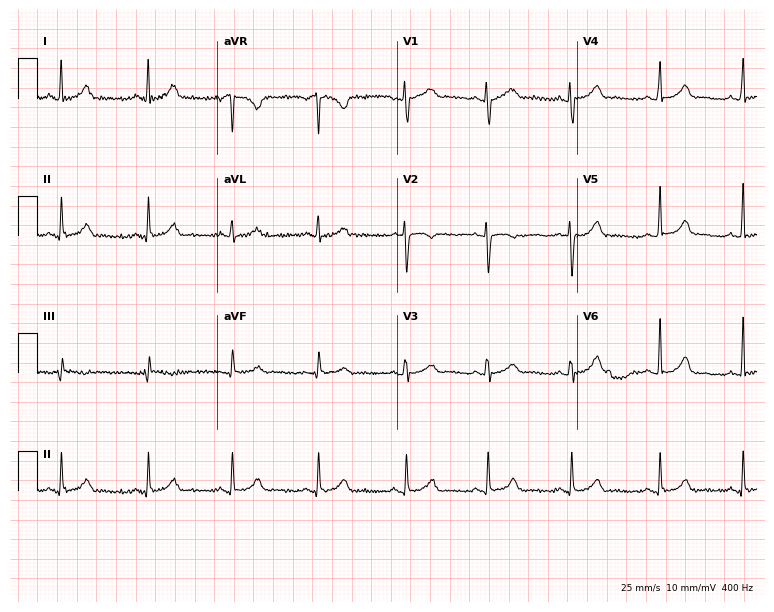
12-lead ECG from a female, 18 years old (7.3-second recording at 400 Hz). No first-degree AV block, right bundle branch block, left bundle branch block, sinus bradycardia, atrial fibrillation or sinus tachycardia recorded for this tracing.